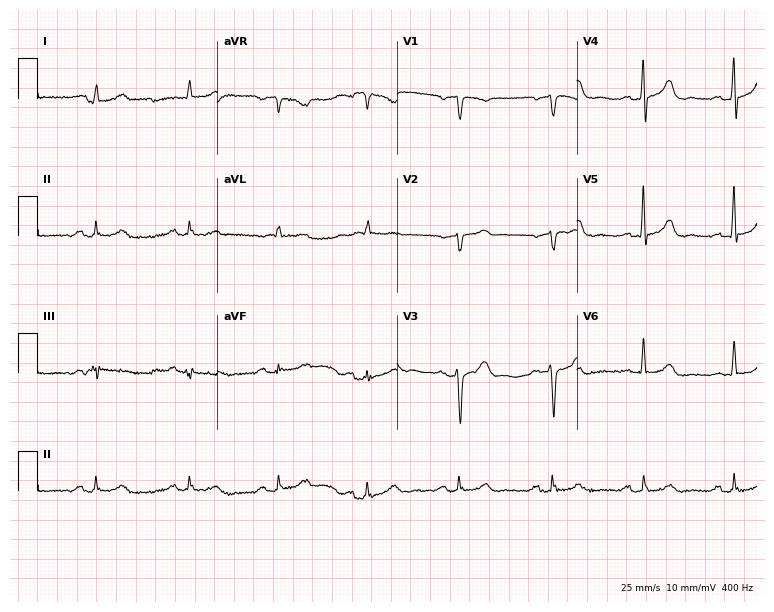
Electrocardiogram (7.3-second recording at 400 Hz), a man, 75 years old. Of the six screened findings (first-degree AV block, right bundle branch block, left bundle branch block, sinus bradycardia, atrial fibrillation, sinus tachycardia), none is recorded. Findings outside these six are not listed.